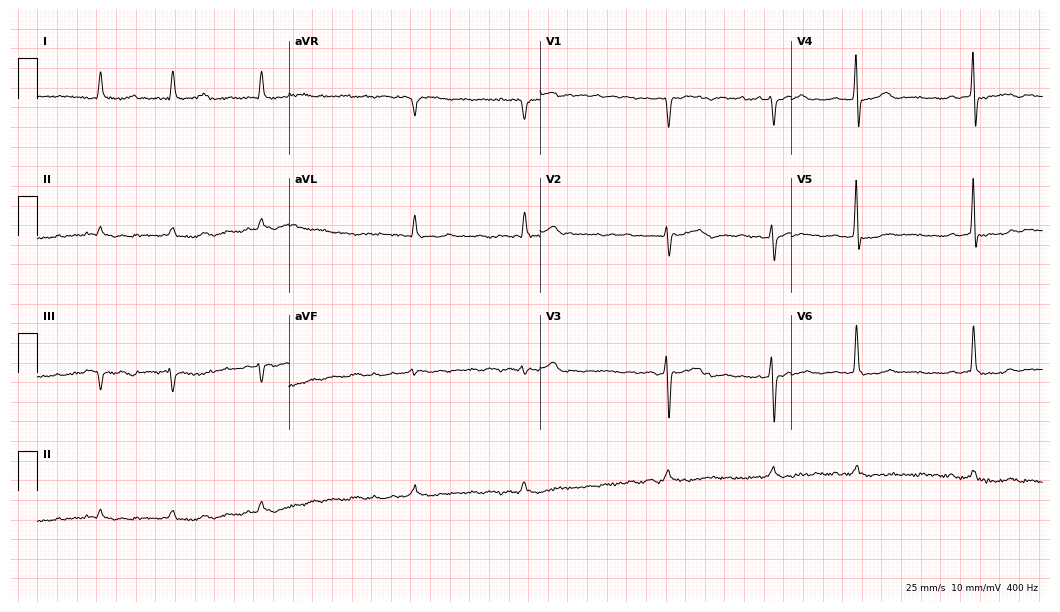
Standard 12-lead ECG recorded from a male, 83 years old (10.2-second recording at 400 Hz). The tracing shows atrial fibrillation.